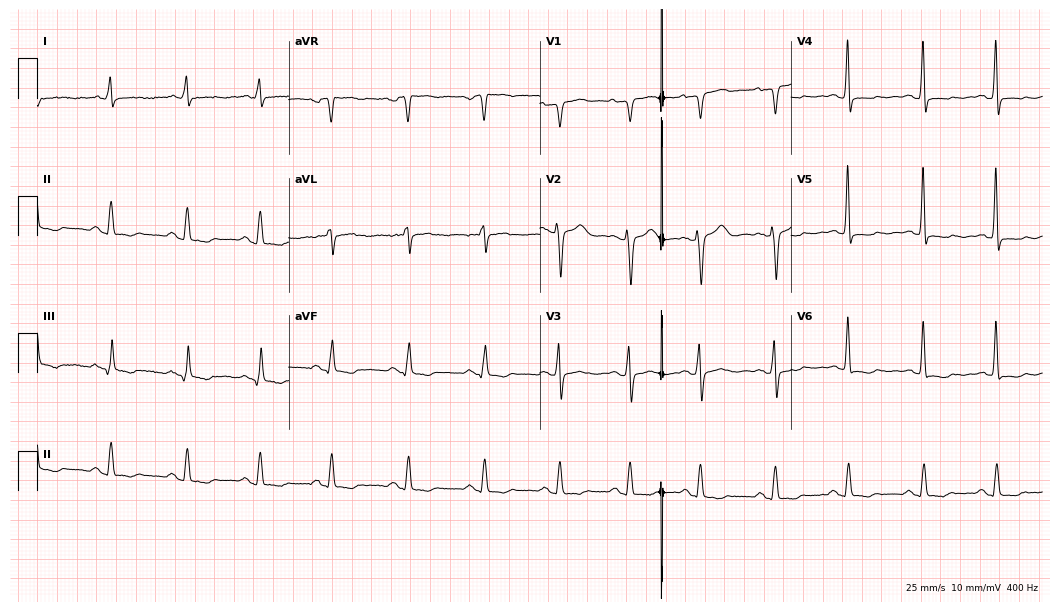
ECG — a 66-year-old female. Screened for six findings — first-degree AV block, right bundle branch block, left bundle branch block, sinus bradycardia, atrial fibrillation, sinus tachycardia — none is recorded. Findings outside these six are not listed.